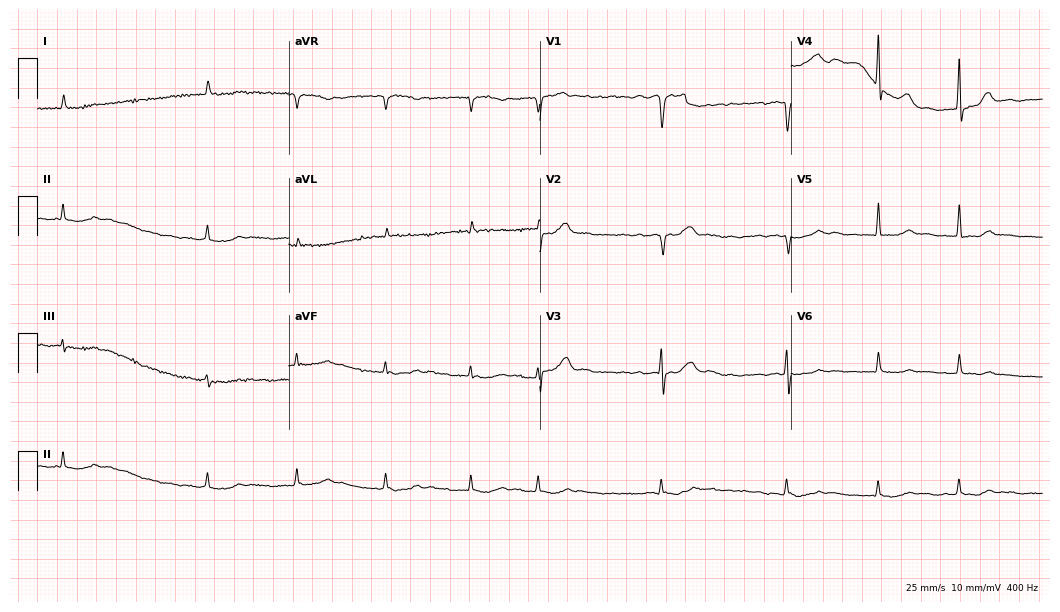
ECG (10.2-second recording at 400 Hz) — an 81-year-old female. Findings include atrial fibrillation.